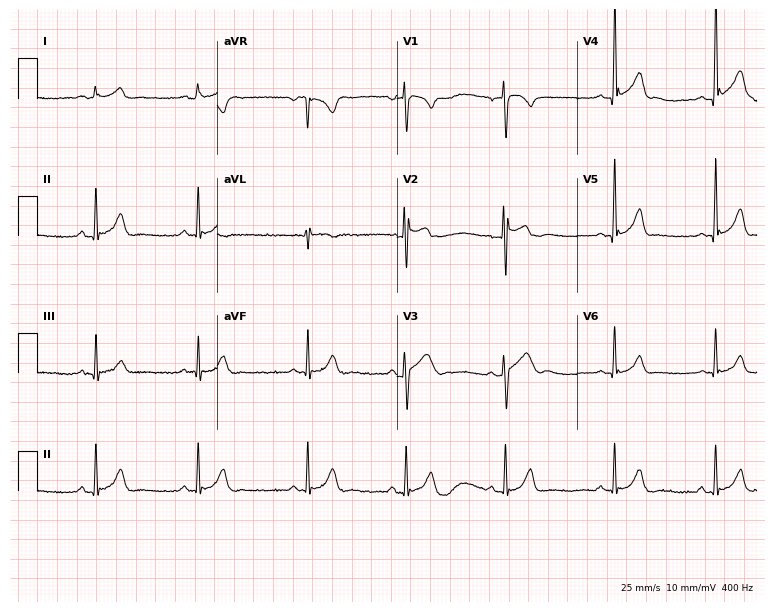
Standard 12-lead ECG recorded from a man, 17 years old (7.3-second recording at 400 Hz). None of these six findings is recorded: first-degree AV block, right bundle branch block (RBBB), left bundle branch block (LBBB), sinus bradycardia, atrial fibrillation (AF), sinus tachycardia. Only these six findings were labelled.